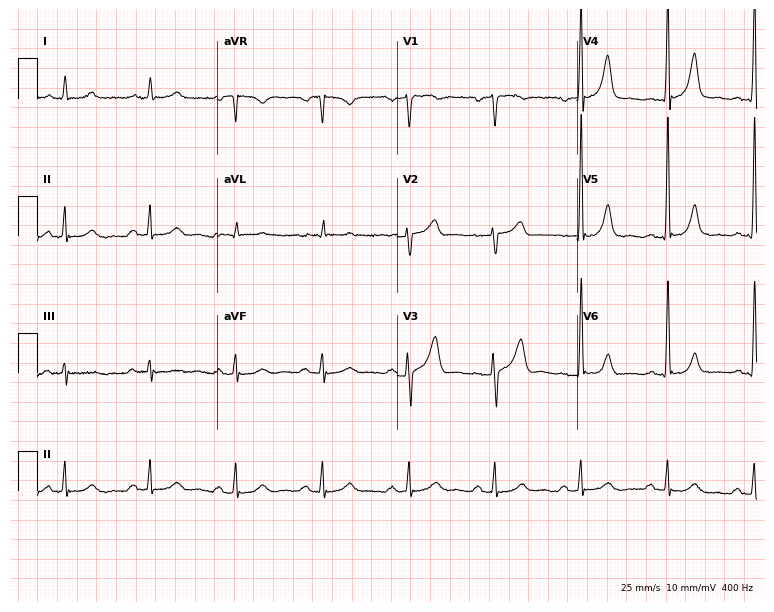
ECG (7.3-second recording at 400 Hz) — a 50-year-old man. Labelled as a normal ECG.